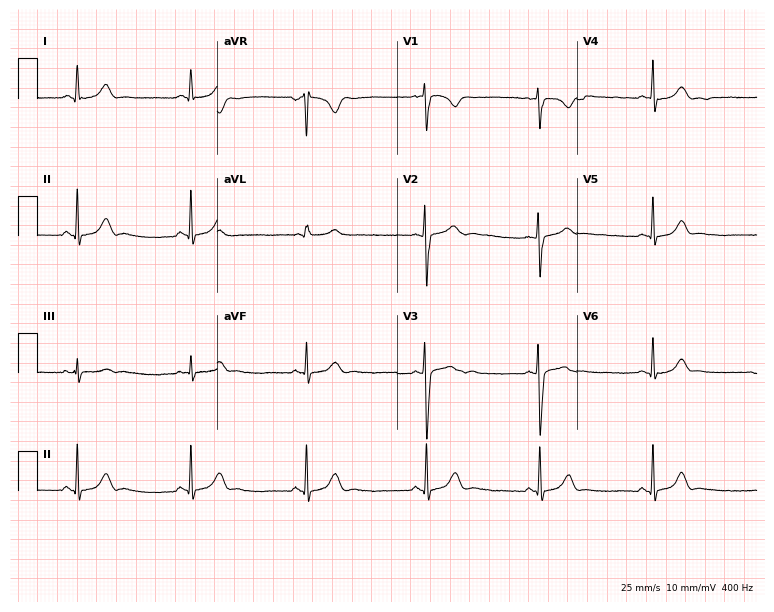
Resting 12-lead electrocardiogram. Patient: a 21-year-old female. Read as a normal ECG.